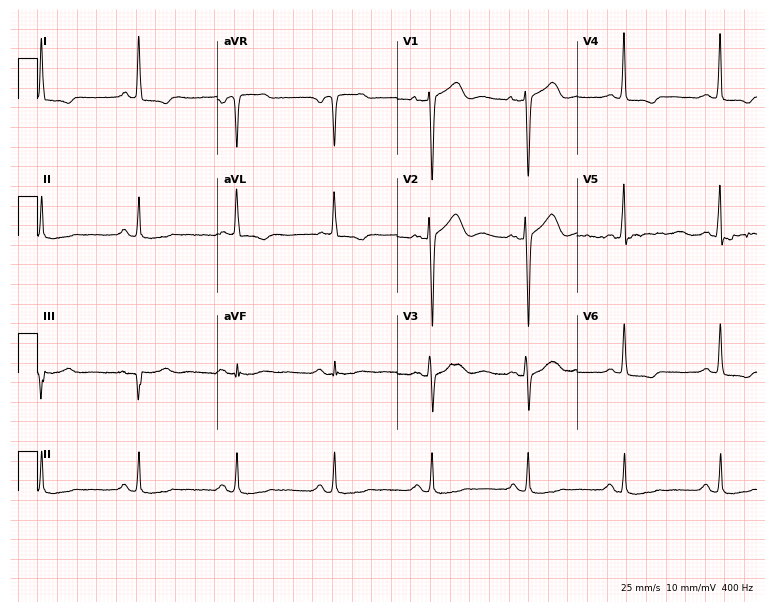
Standard 12-lead ECG recorded from a 55-year-old male patient. None of these six findings is recorded: first-degree AV block, right bundle branch block, left bundle branch block, sinus bradycardia, atrial fibrillation, sinus tachycardia. Other findings, if any, are not listed.